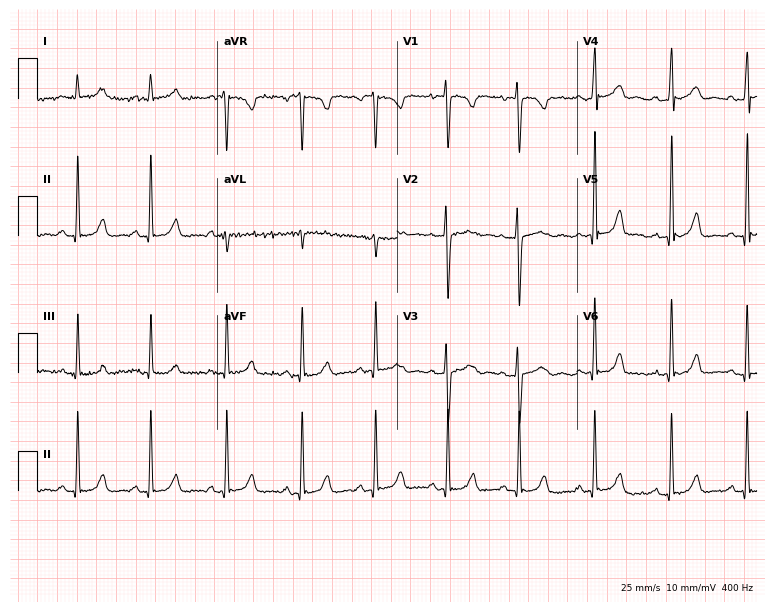
12-lead ECG (7.3-second recording at 400 Hz) from a female patient, 23 years old. Screened for six findings — first-degree AV block, right bundle branch block (RBBB), left bundle branch block (LBBB), sinus bradycardia, atrial fibrillation (AF), sinus tachycardia — none is recorded. Findings outside these six are not listed.